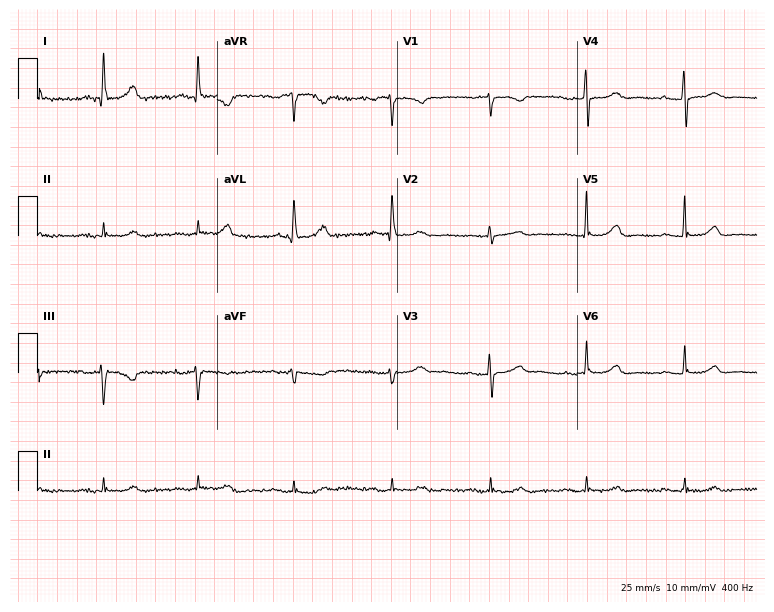
ECG (7.3-second recording at 400 Hz) — a female, 69 years old. Labelled as a normal ECG.